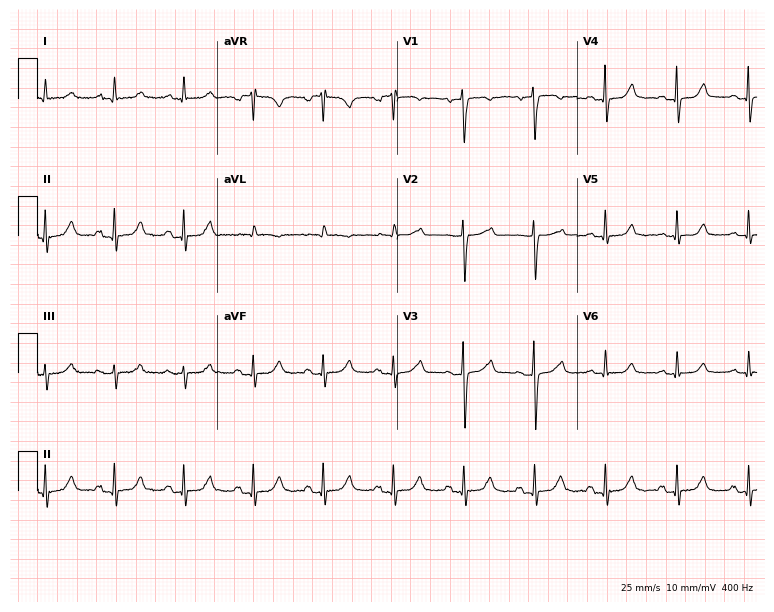
ECG — a 57-year-old woman. Labelled as a normal ECG.